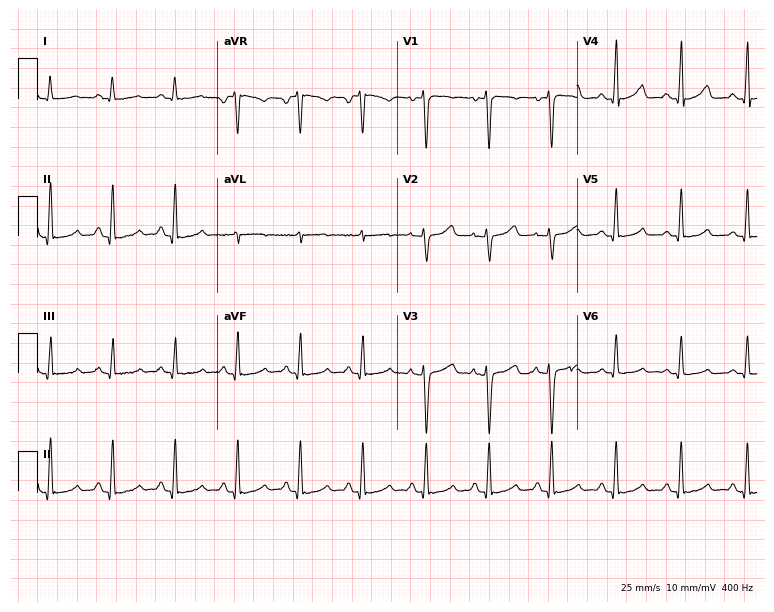
12-lead ECG from a 47-year-old female (7.3-second recording at 400 Hz). No first-degree AV block, right bundle branch block, left bundle branch block, sinus bradycardia, atrial fibrillation or sinus tachycardia recorded for this tracing. Other findings, if any, are not listed.